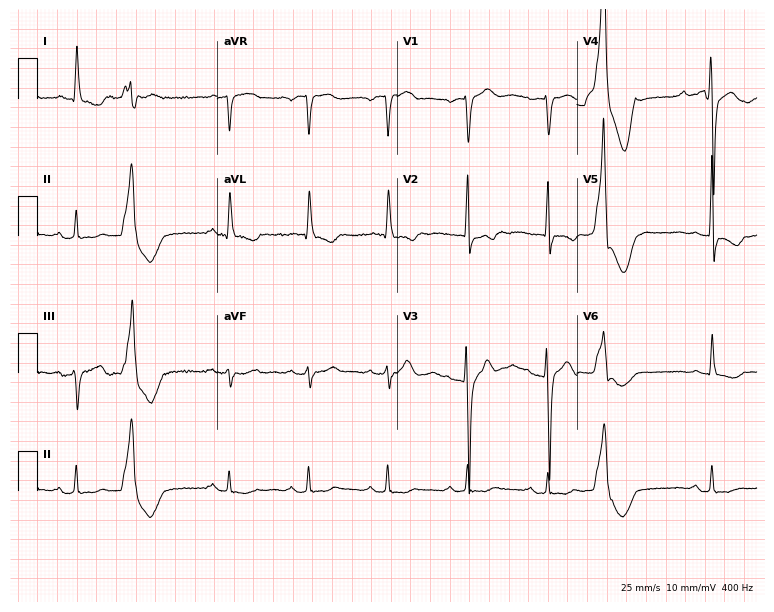
12-lead ECG from a 75-year-old woman. No first-degree AV block, right bundle branch block, left bundle branch block, sinus bradycardia, atrial fibrillation or sinus tachycardia recorded for this tracing.